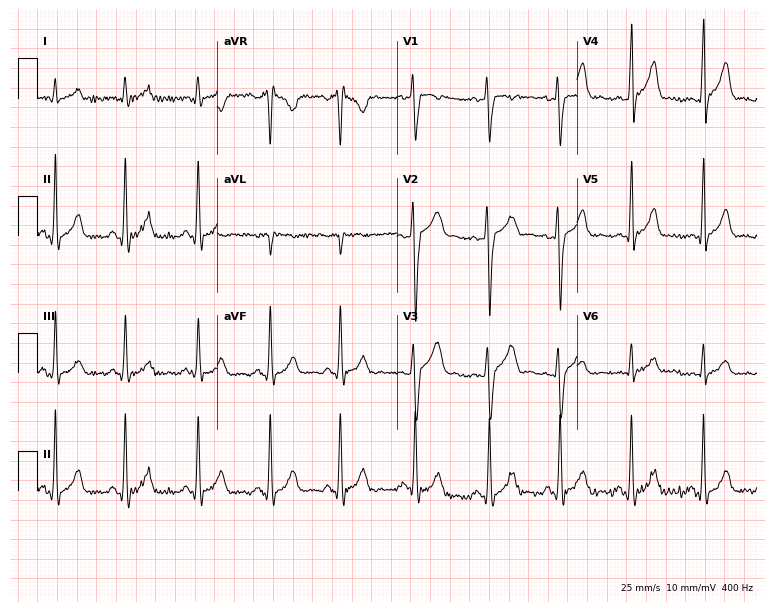
12-lead ECG from a male patient, 21 years old. Screened for six findings — first-degree AV block, right bundle branch block (RBBB), left bundle branch block (LBBB), sinus bradycardia, atrial fibrillation (AF), sinus tachycardia — none is recorded.